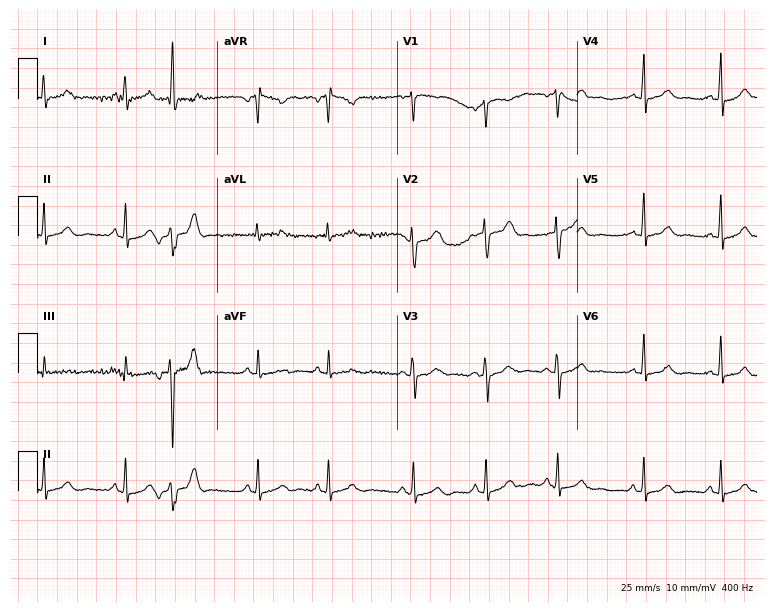
ECG — a 19-year-old woman. Screened for six findings — first-degree AV block, right bundle branch block, left bundle branch block, sinus bradycardia, atrial fibrillation, sinus tachycardia — none is recorded. Only these six findings were labelled.